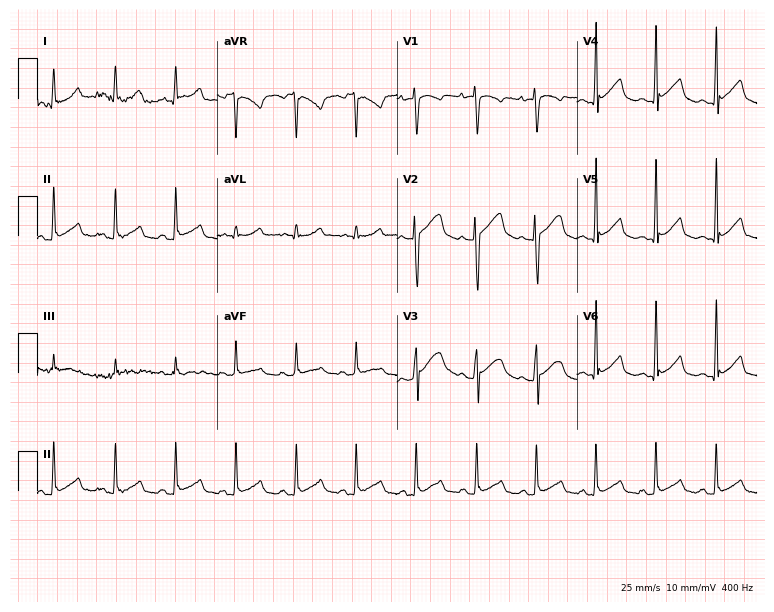
Standard 12-lead ECG recorded from an 18-year-old female patient. None of these six findings is recorded: first-degree AV block, right bundle branch block, left bundle branch block, sinus bradycardia, atrial fibrillation, sinus tachycardia.